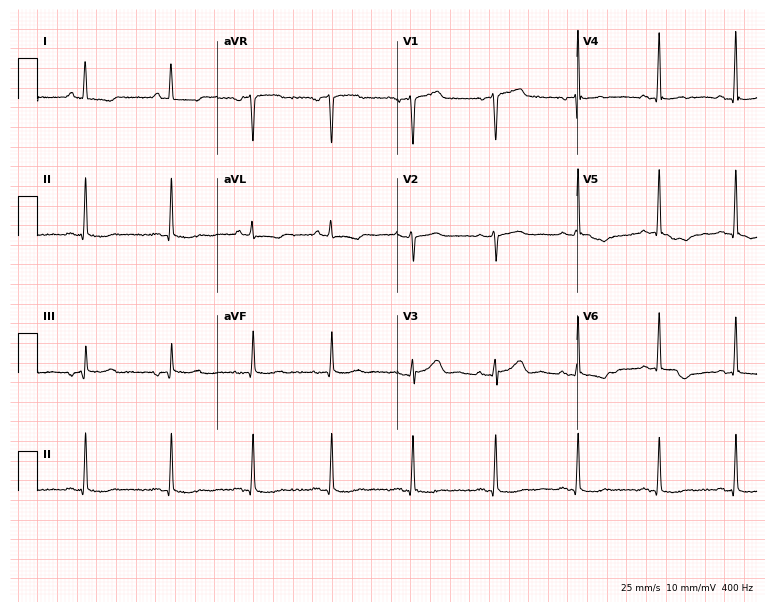
Standard 12-lead ECG recorded from a woman, 64 years old (7.3-second recording at 400 Hz). None of these six findings is recorded: first-degree AV block, right bundle branch block (RBBB), left bundle branch block (LBBB), sinus bradycardia, atrial fibrillation (AF), sinus tachycardia.